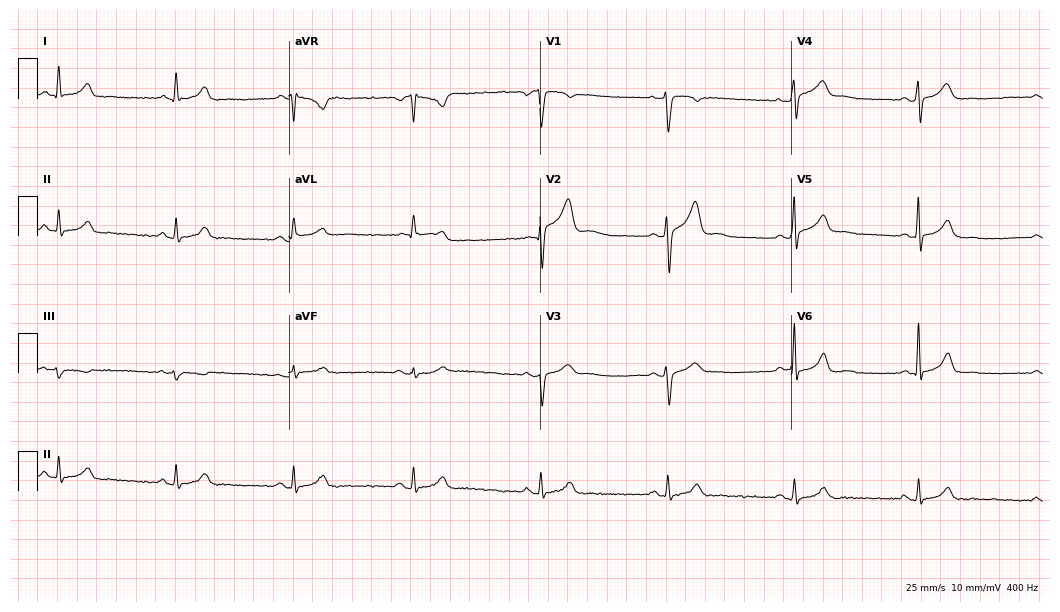
12-lead ECG from a male patient, 31 years old. Labelled as a normal ECG.